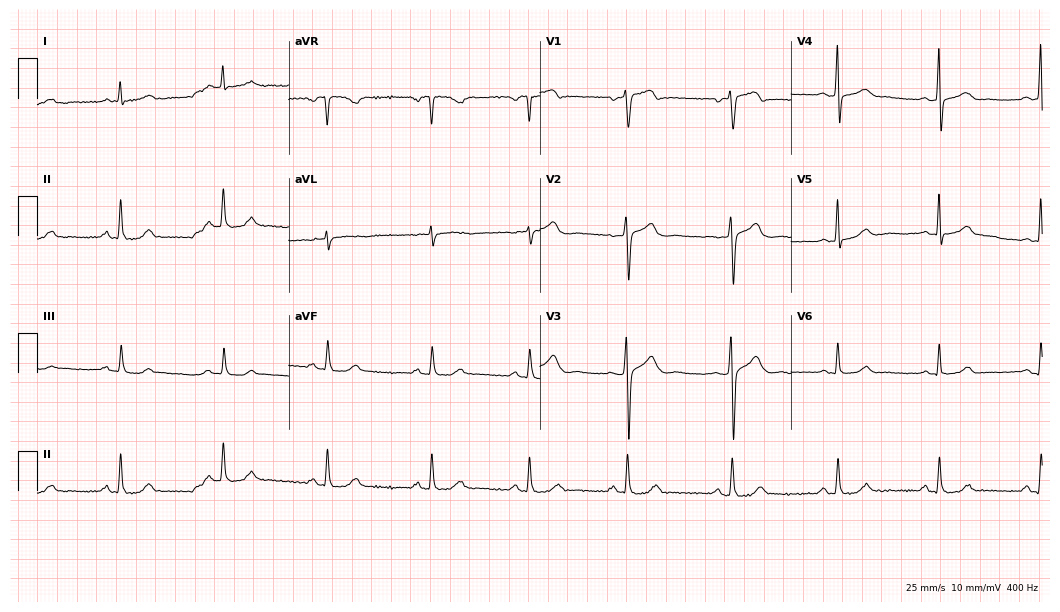
12-lead ECG (10.2-second recording at 400 Hz) from a woman, 52 years old. Labelled as a normal ECG.